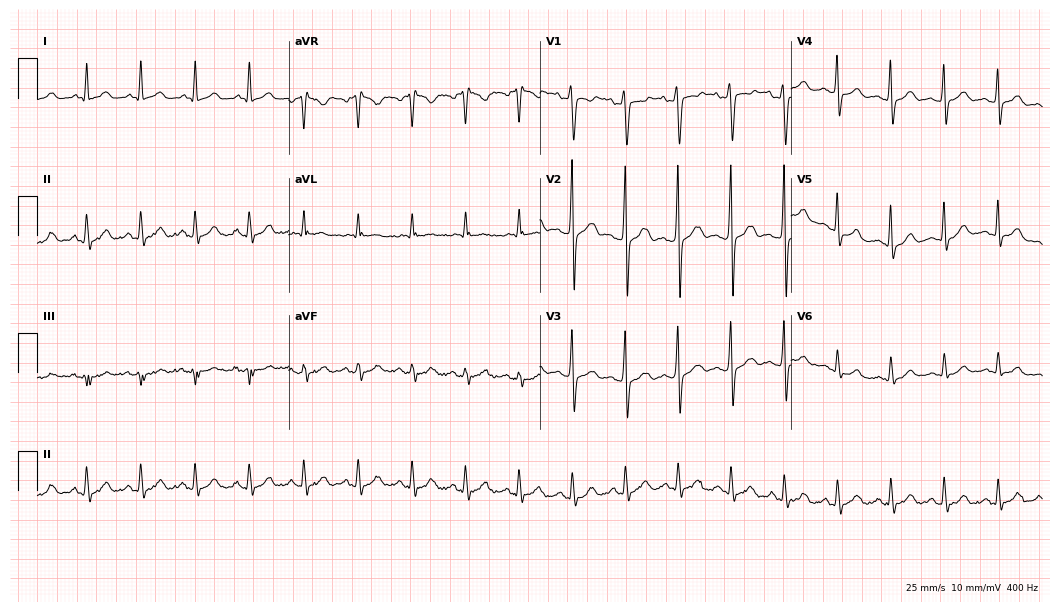
12-lead ECG from a 25-year-old male. Findings include sinus tachycardia (a sinus rate of 100 beats per minute or more).